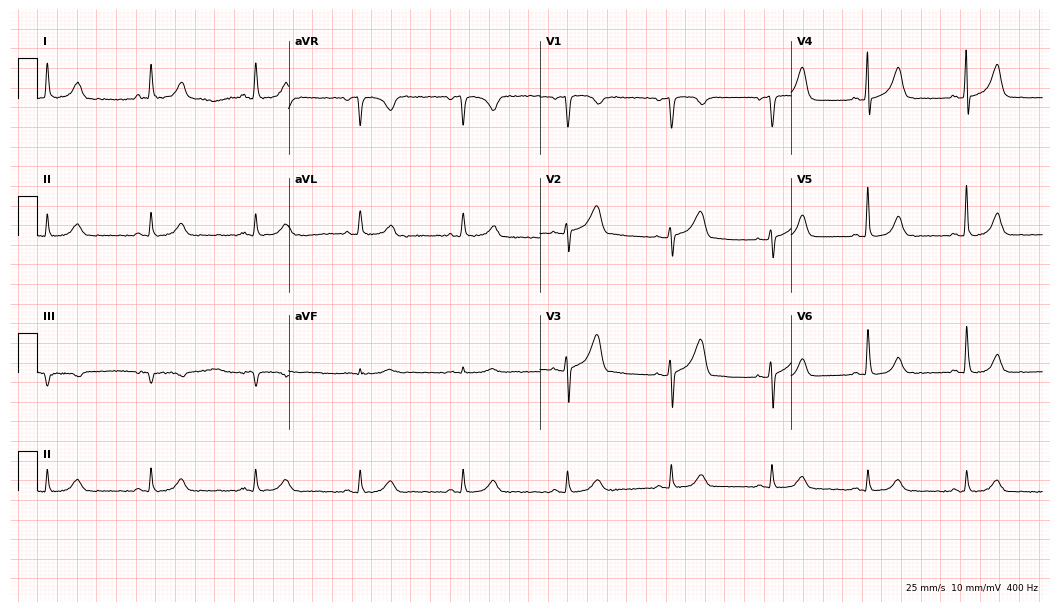
12-lead ECG from a 72-year-old woman. No first-degree AV block, right bundle branch block, left bundle branch block, sinus bradycardia, atrial fibrillation or sinus tachycardia recorded for this tracing.